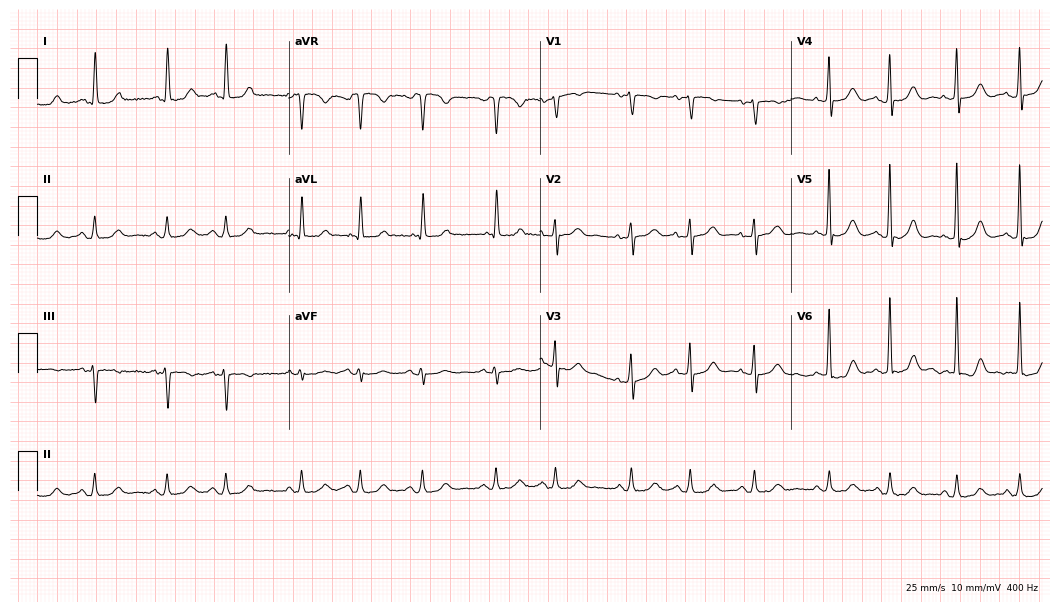
12-lead ECG (10.2-second recording at 400 Hz) from an 80-year-old woman. Screened for six findings — first-degree AV block, right bundle branch block, left bundle branch block, sinus bradycardia, atrial fibrillation, sinus tachycardia — none is recorded. Other findings, if any, are not listed.